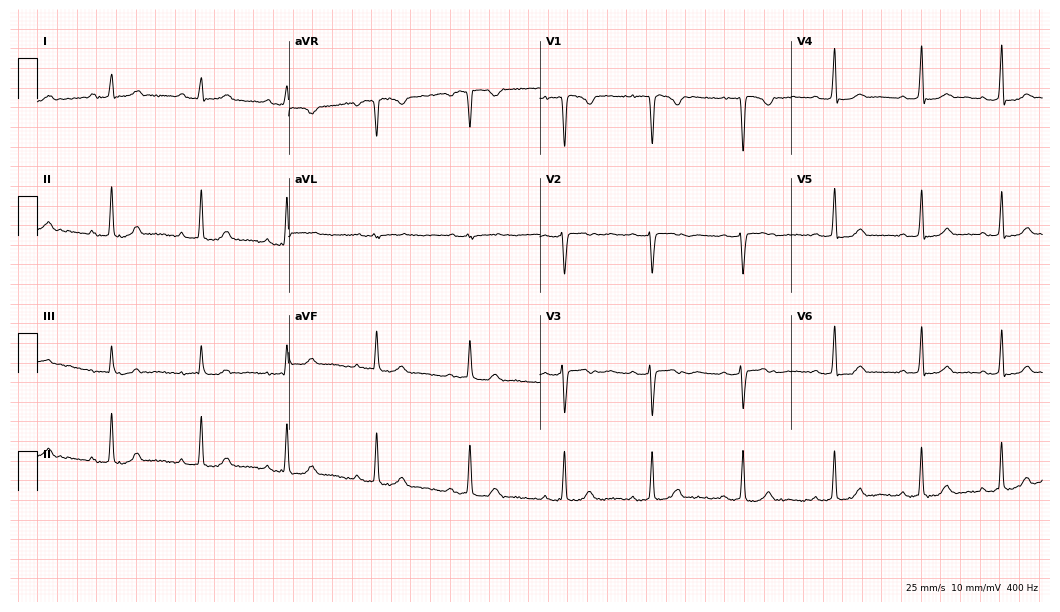
12-lead ECG from an 18-year-old female patient. Labelled as a normal ECG.